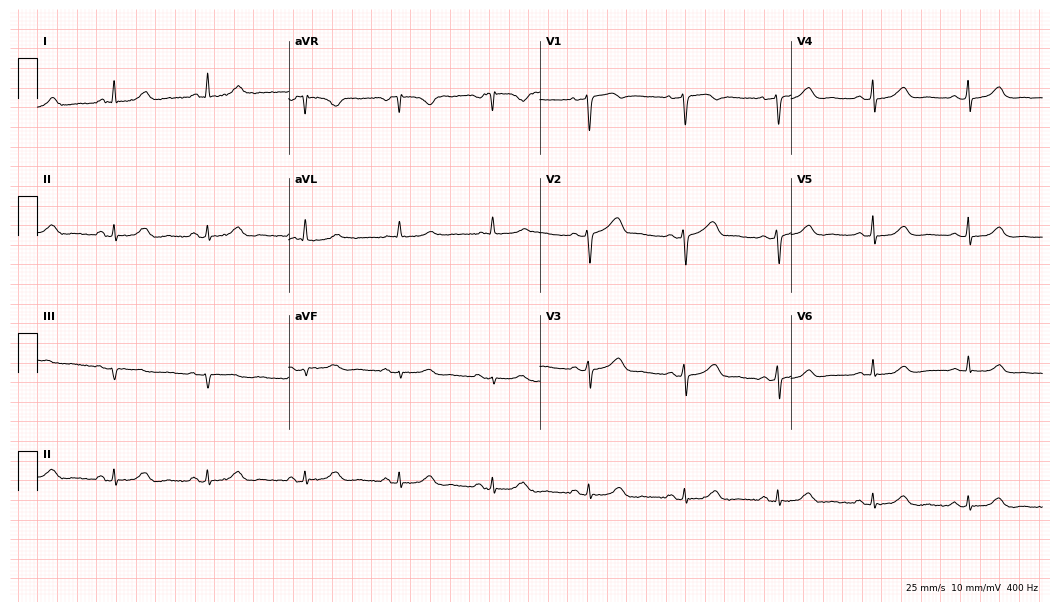
Electrocardiogram (10.2-second recording at 400 Hz), a female, 61 years old. Of the six screened findings (first-degree AV block, right bundle branch block, left bundle branch block, sinus bradycardia, atrial fibrillation, sinus tachycardia), none is recorded. Findings outside these six are not listed.